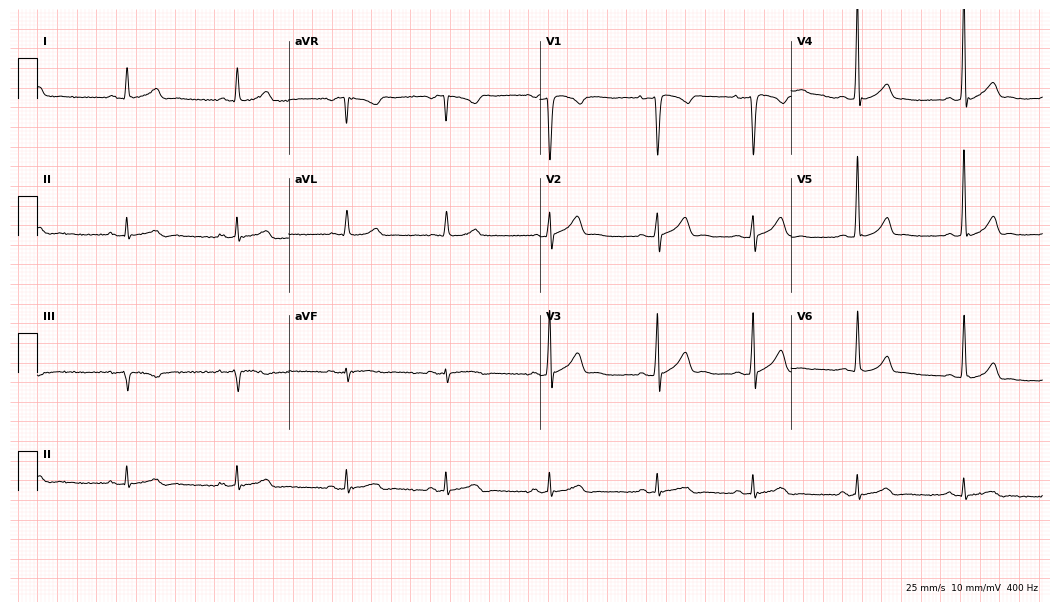
Standard 12-lead ECG recorded from a 28-year-old man (10.2-second recording at 400 Hz). Read as a normal ECG.